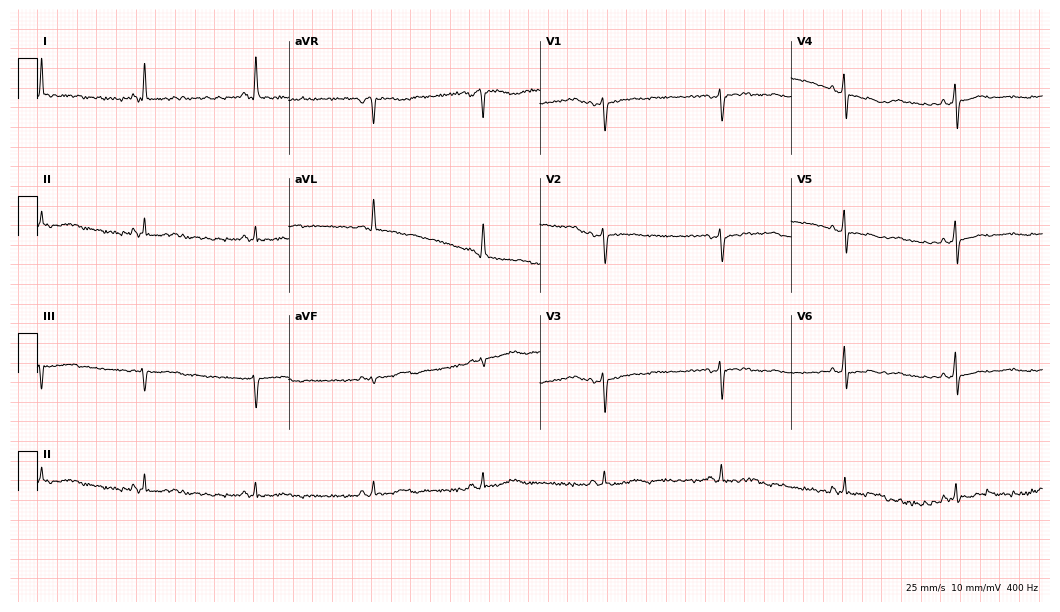
Standard 12-lead ECG recorded from a 55-year-old woman. The tracing shows sinus bradycardia (a sinus rate of 50 beats per minute or less).